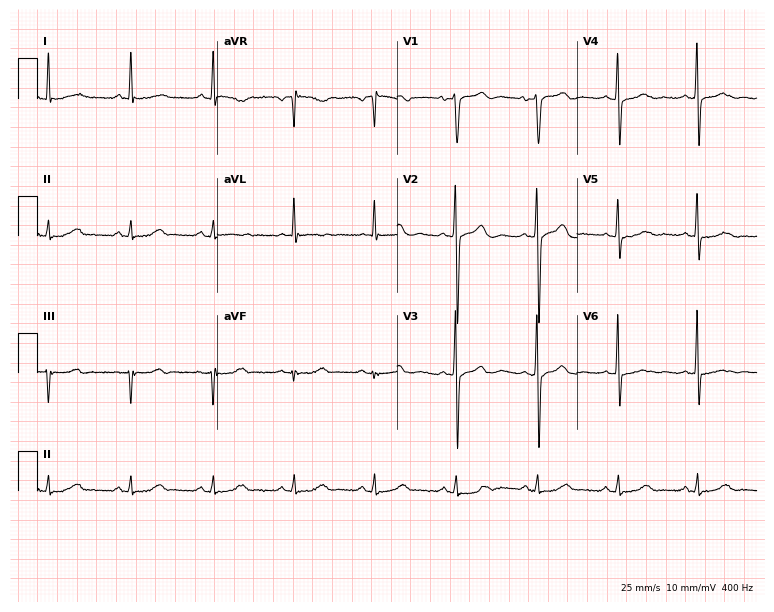
ECG (7.3-second recording at 400 Hz) — a 65-year-old man. Labelled as a normal ECG.